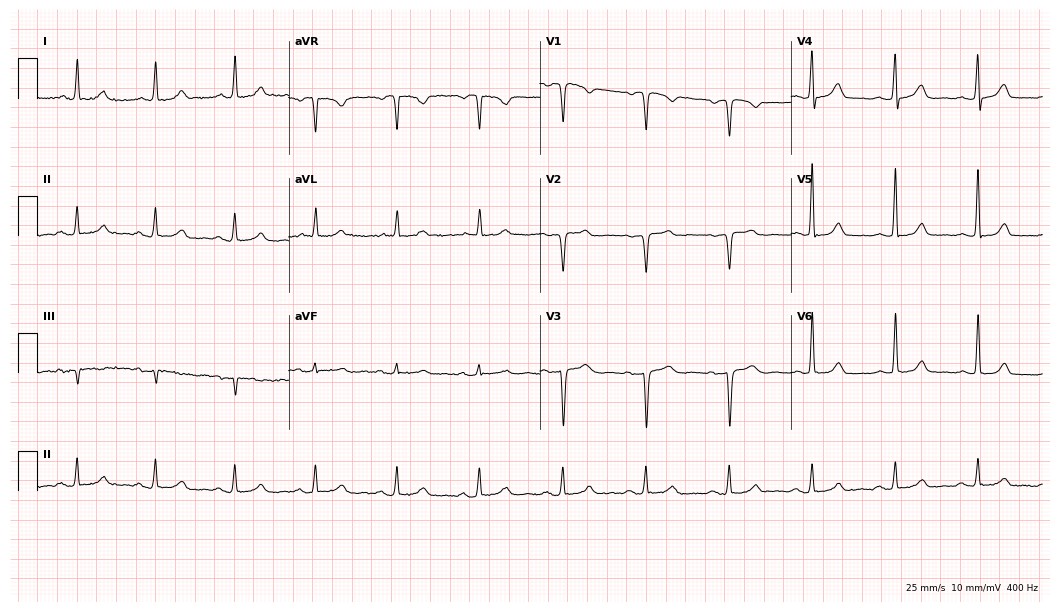
12-lead ECG from a woman, 42 years old. Recorded interpretation: within normal limits.